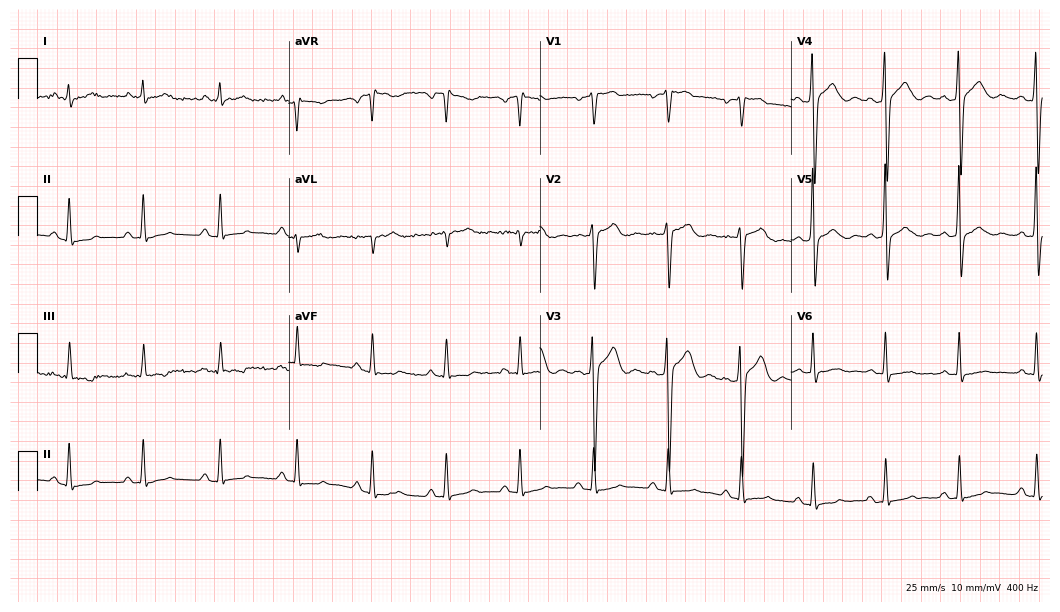
Standard 12-lead ECG recorded from a male patient, 57 years old (10.2-second recording at 400 Hz). Read as a normal ECG.